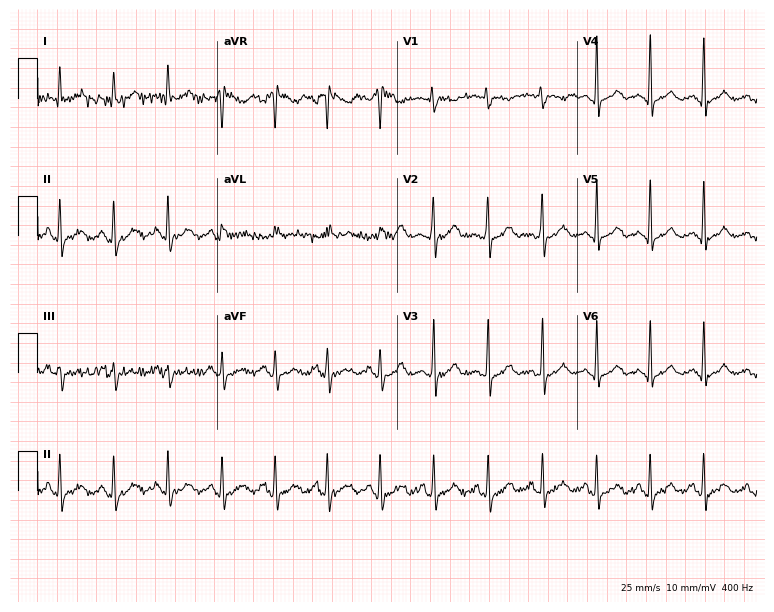
Electrocardiogram (7.3-second recording at 400 Hz), a female patient, 31 years old. Of the six screened findings (first-degree AV block, right bundle branch block (RBBB), left bundle branch block (LBBB), sinus bradycardia, atrial fibrillation (AF), sinus tachycardia), none is recorded.